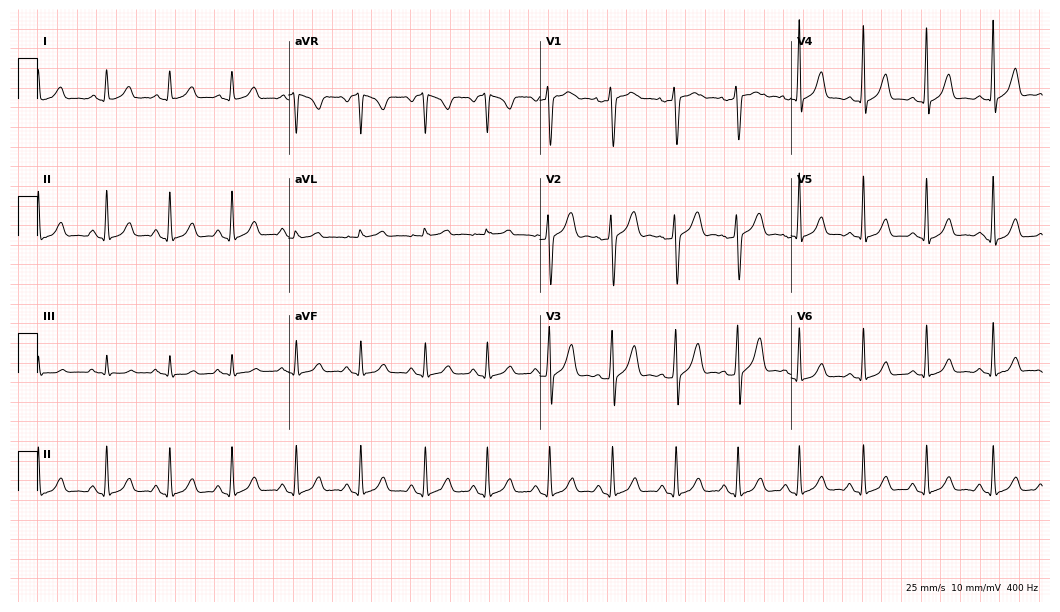
12-lead ECG from a 31-year-old woman. Recorded interpretation: within normal limits.